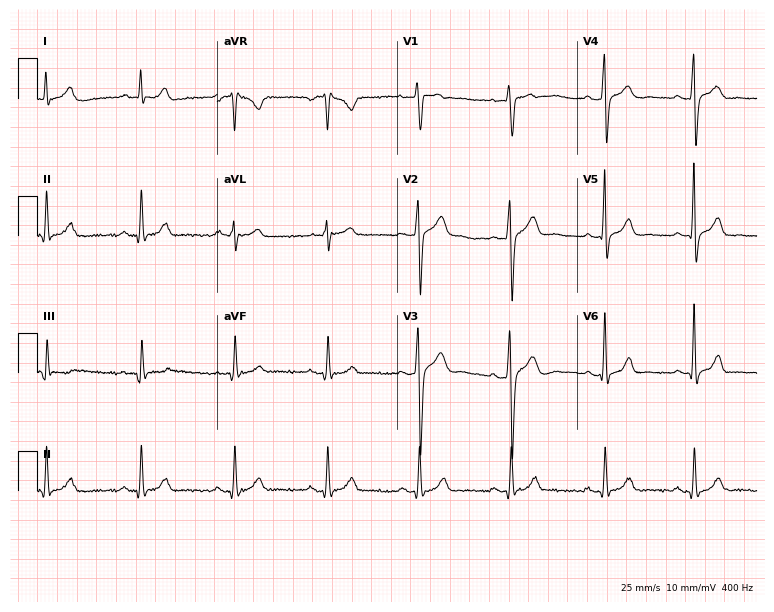
12-lead ECG from a 44-year-old man. Recorded interpretation: within normal limits.